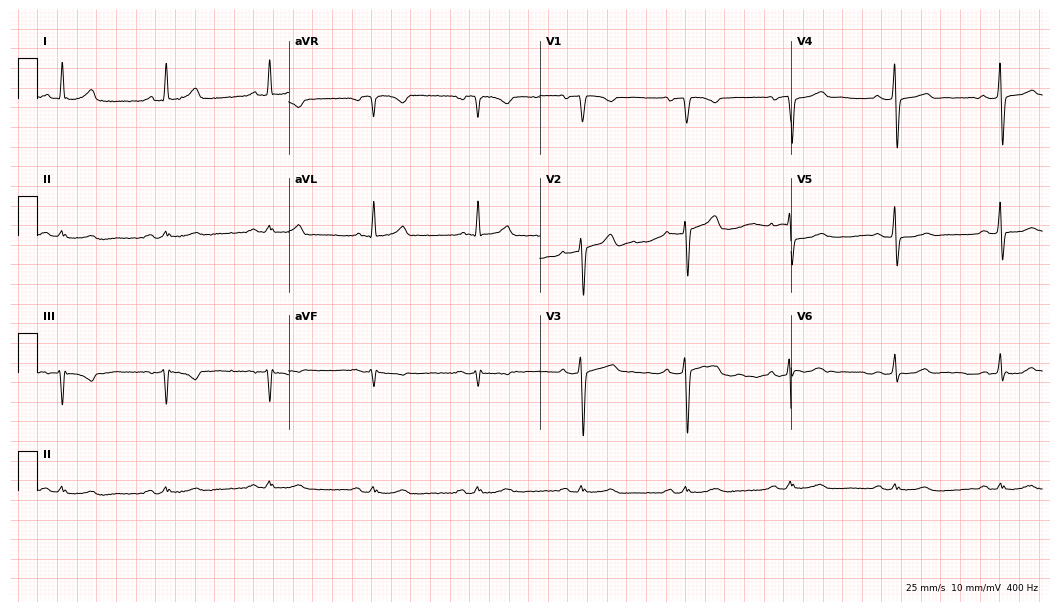
Resting 12-lead electrocardiogram. Patient: a 76-year-old man. None of these six findings is recorded: first-degree AV block, right bundle branch block, left bundle branch block, sinus bradycardia, atrial fibrillation, sinus tachycardia.